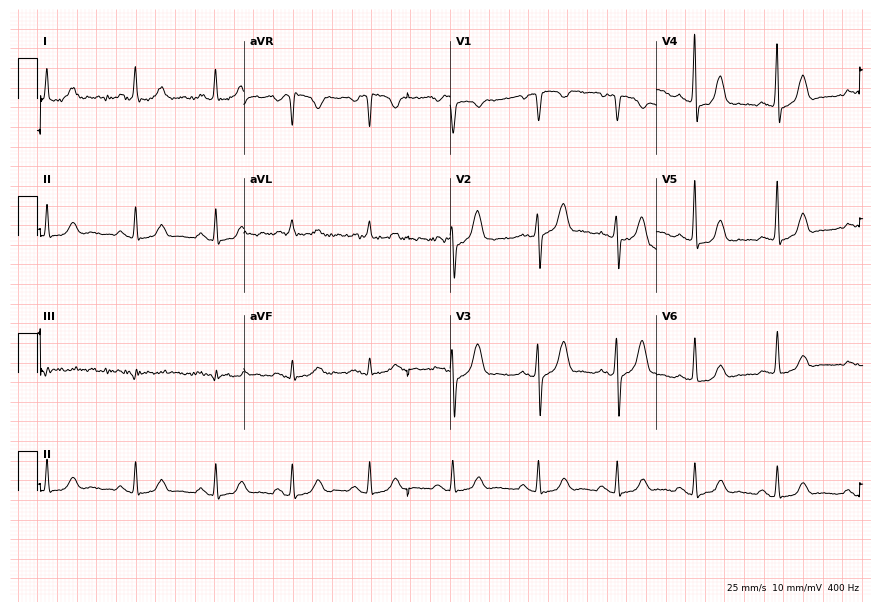
Resting 12-lead electrocardiogram (8.4-second recording at 400 Hz). Patient: a female, 37 years old. Read as a normal ECG.